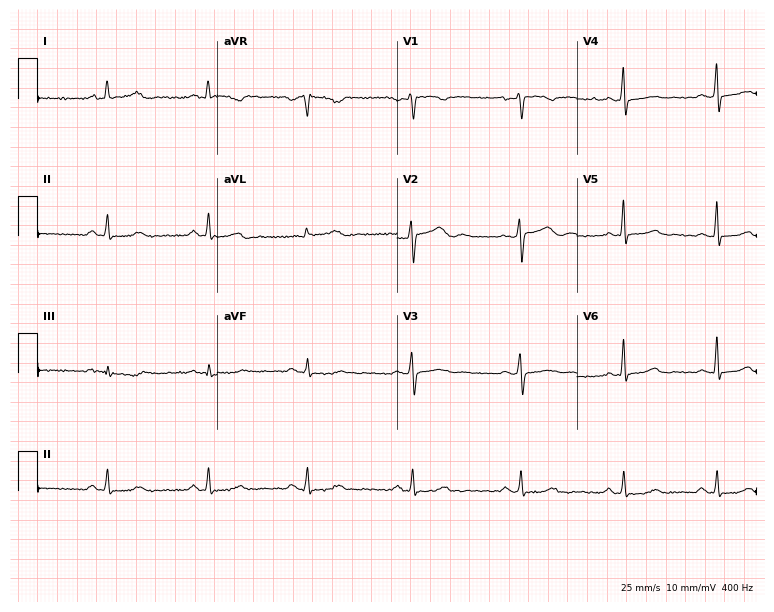
12-lead ECG (7.3-second recording at 400 Hz) from a woman, 36 years old. Screened for six findings — first-degree AV block, right bundle branch block, left bundle branch block, sinus bradycardia, atrial fibrillation, sinus tachycardia — none is recorded. Only these six findings were labelled.